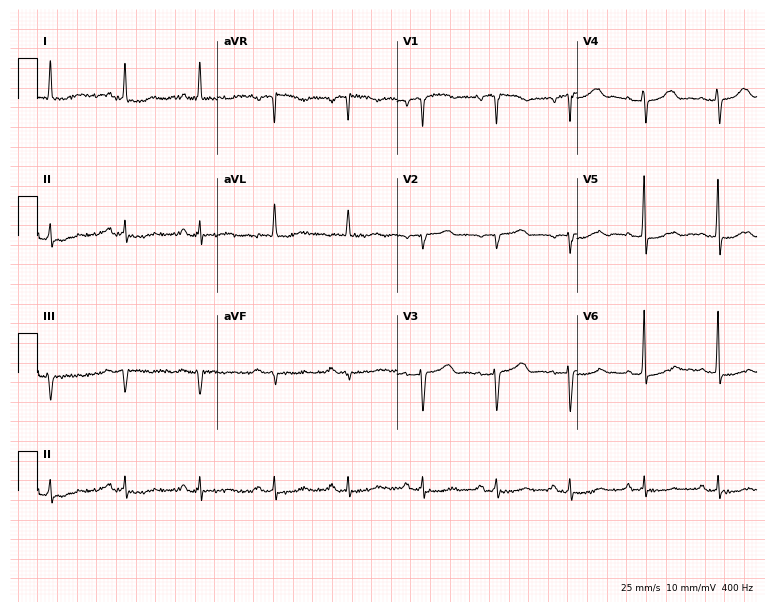
12-lead ECG from a woman, 74 years old (7.3-second recording at 400 Hz). No first-degree AV block, right bundle branch block, left bundle branch block, sinus bradycardia, atrial fibrillation or sinus tachycardia recorded for this tracing. Findings outside these six are not listed.